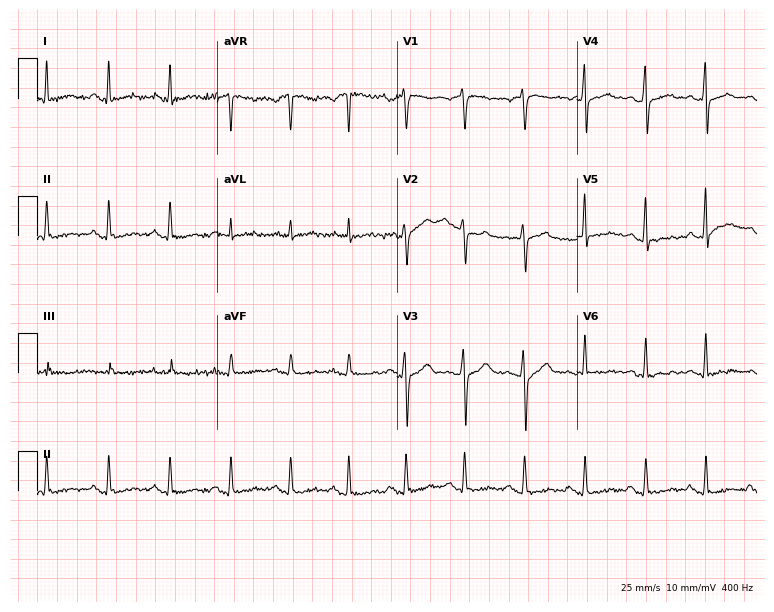
ECG (7.3-second recording at 400 Hz) — a 49-year-old male patient. Labelled as a normal ECG.